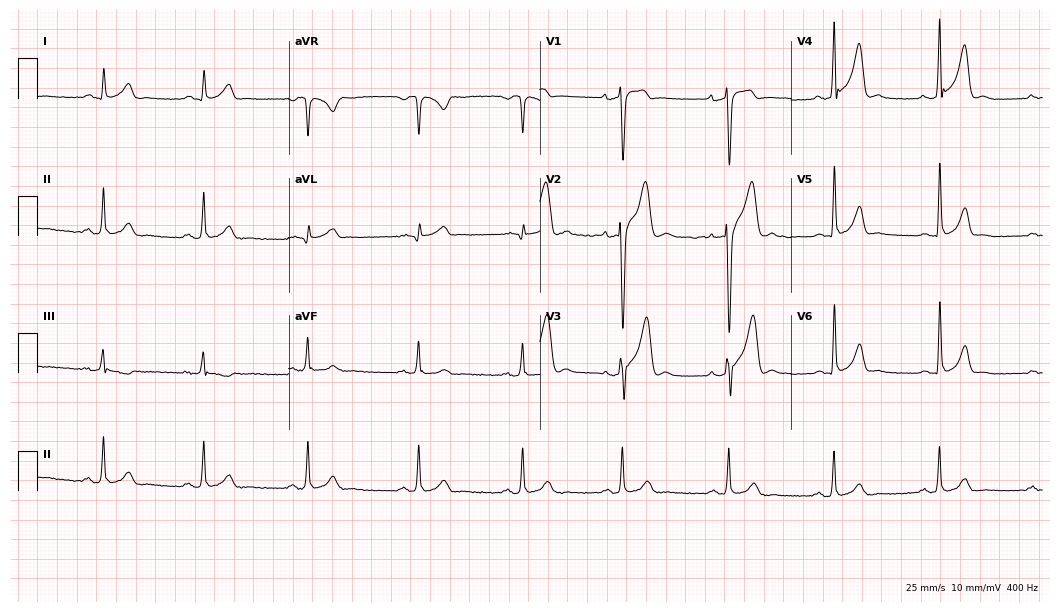
Standard 12-lead ECG recorded from a 46-year-old male patient. None of these six findings is recorded: first-degree AV block, right bundle branch block, left bundle branch block, sinus bradycardia, atrial fibrillation, sinus tachycardia.